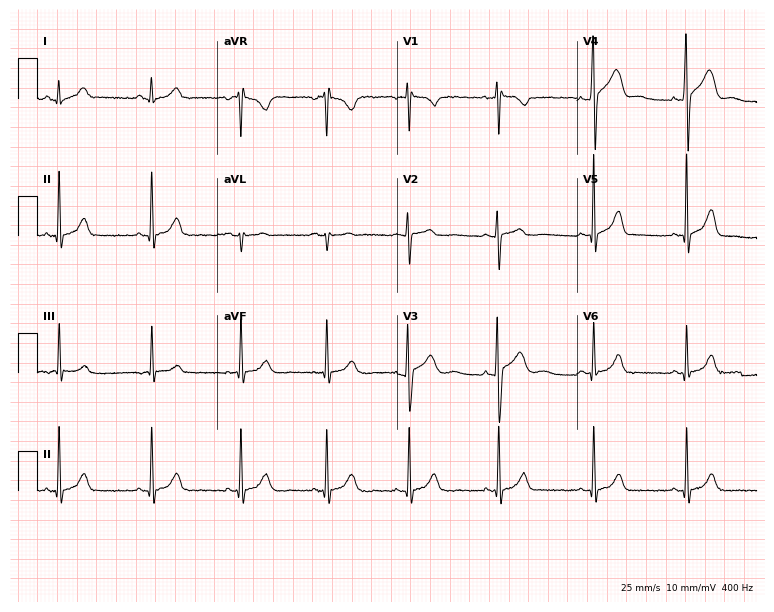
Resting 12-lead electrocardiogram (7.3-second recording at 400 Hz). Patient: a female, 26 years old. None of these six findings is recorded: first-degree AV block, right bundle branch block, left bundle branch block, sinus bradycardia, atrial fibrillation, sinus tachycardia. Findings outside these six are not listed.